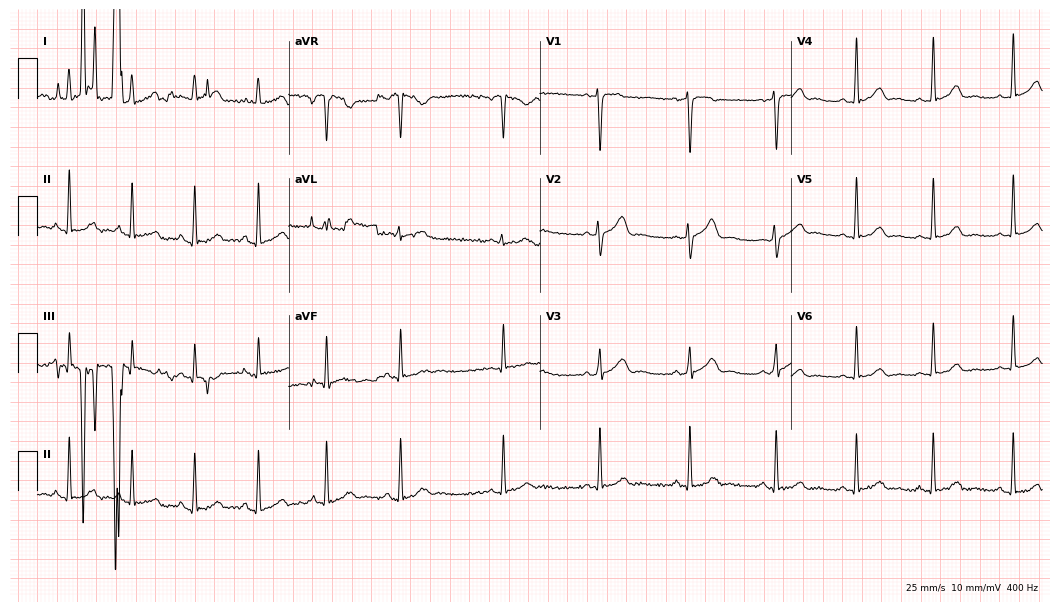
Standard 12-lead ECG recorded from a female, 29 years old (10.2-second recording at 400 Hz). Read as a normal ECG.